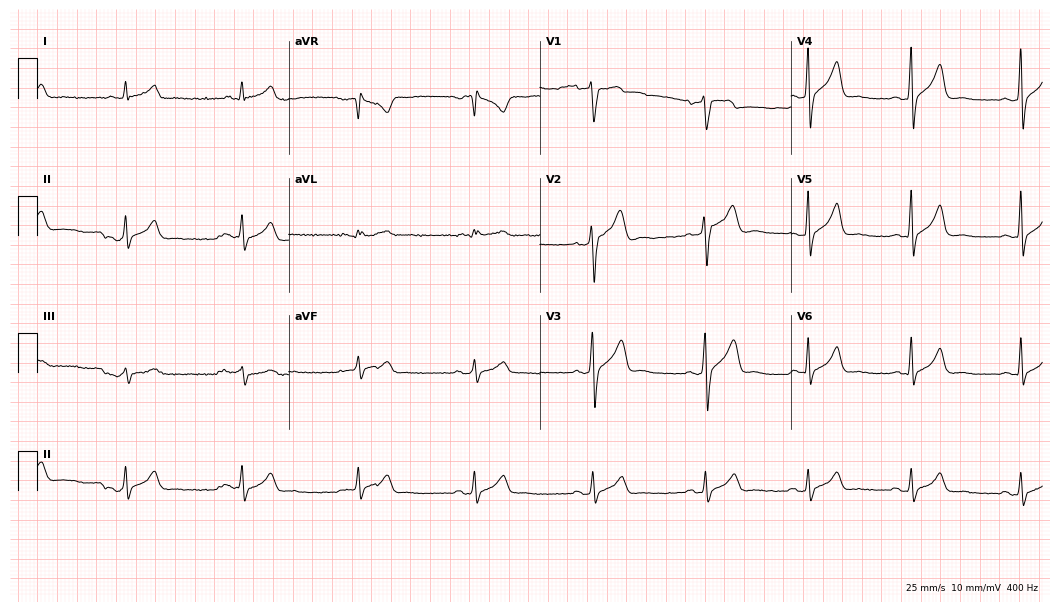
Standard 12-lead ECG recorded from a man, 47 years old (10.2-second recording at 400 Hz). Read as a normal ECG.